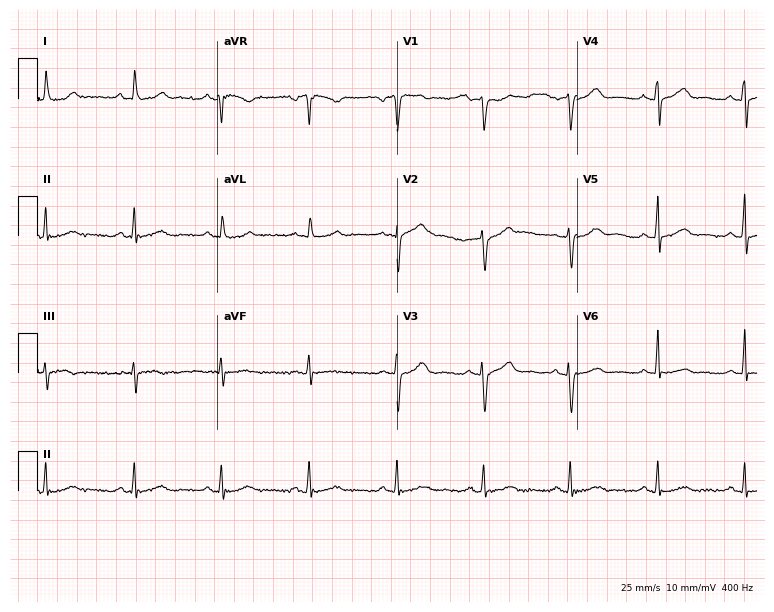
Electrocardiogram, a woman, 58 years old. Overall reading on record: normal ECG.